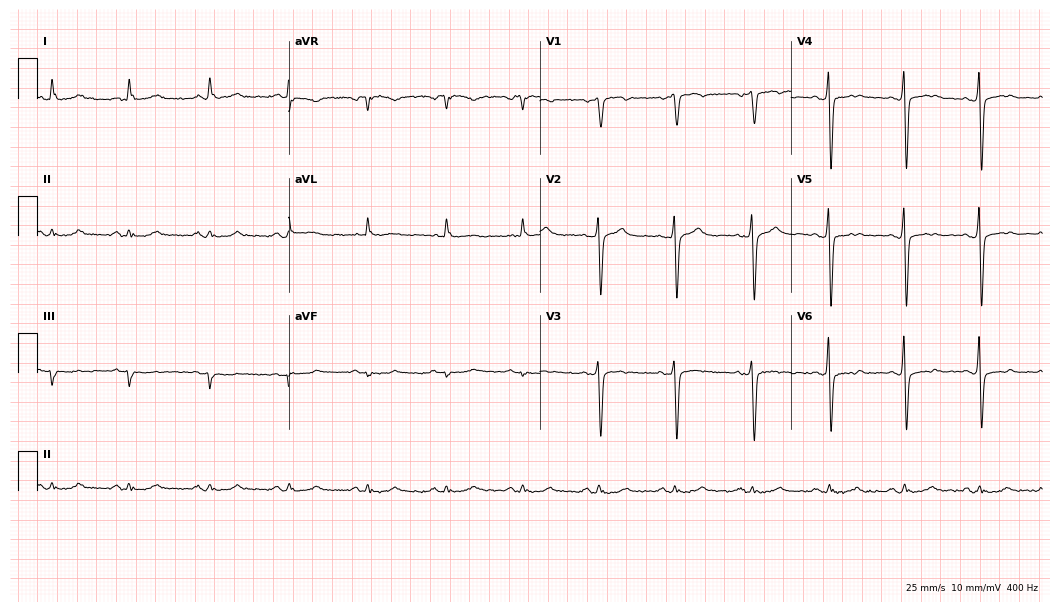
Standard 12-lead ECG recorded from a 63-year-old male patient. None of these six findings is recorded: first-degree AV block, right bundle branch block (RBBB), left bundle branch block (LBBB), sinus bradycardia, atrial fibrillation (AF), sinus tachycardia. Other findings, if any, are not listed.